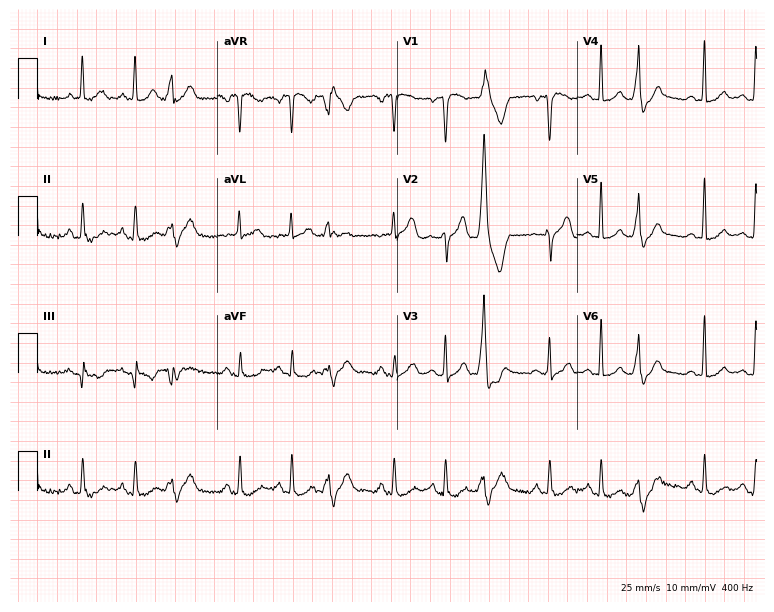
12-lead ECG from a 74-year-old woman. Shows sinus tachycardia (a sinus rate of 100 beats per minute or more).